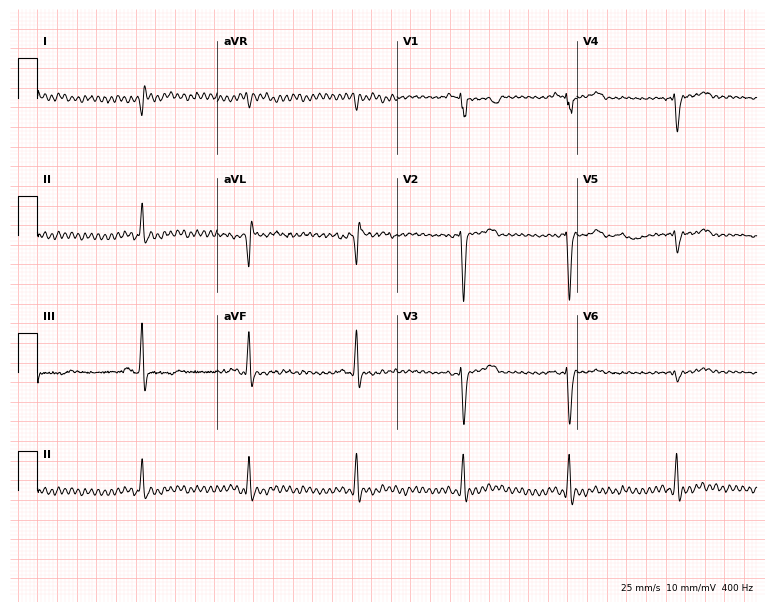
12-lead ECG (7.3-second recording at 400 Hz) from a 68-year-old male. Screened for six findings — first-degree AV block, right bundle branch block, left bundle branch block, sinus bradycardia, atrial fibrillation, sinus tachycardia — none is recorded. Only these six findings were labelled.